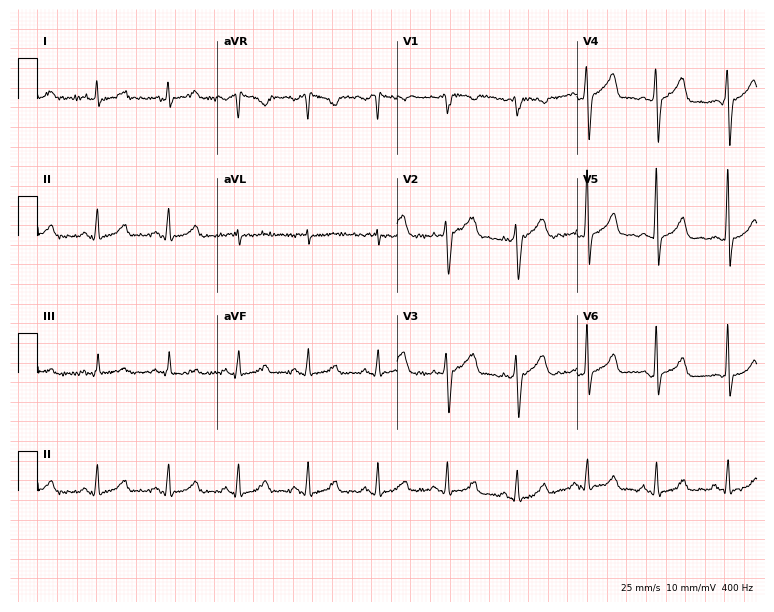
Resting 12-lead electrocardiogram. Patient: a male, 50 years old. Read as a normal ECG.